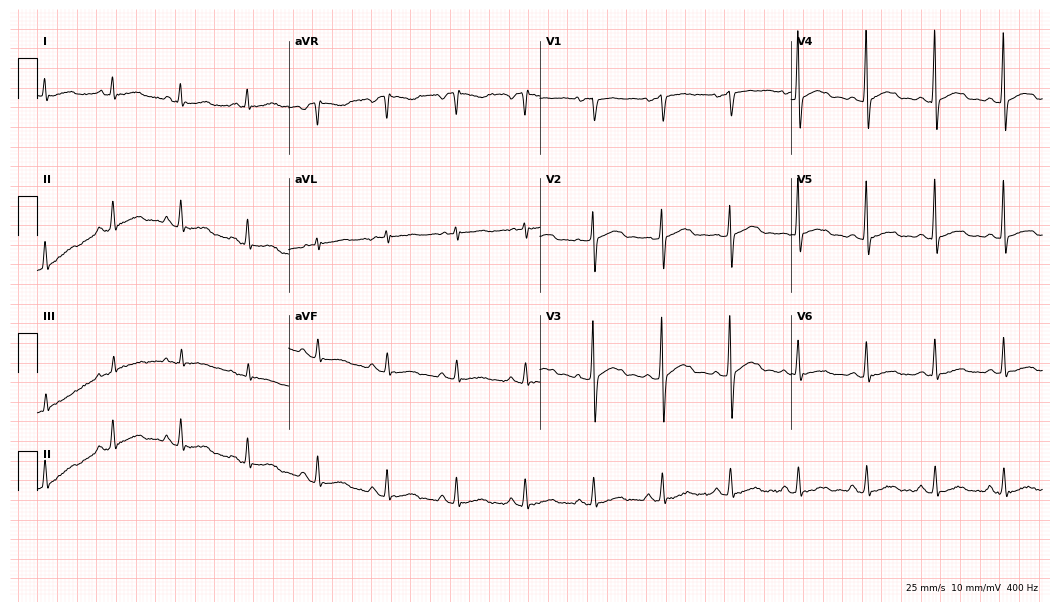
12-lead ECG from a 68-year-old male. Labelled as a normal ECG.